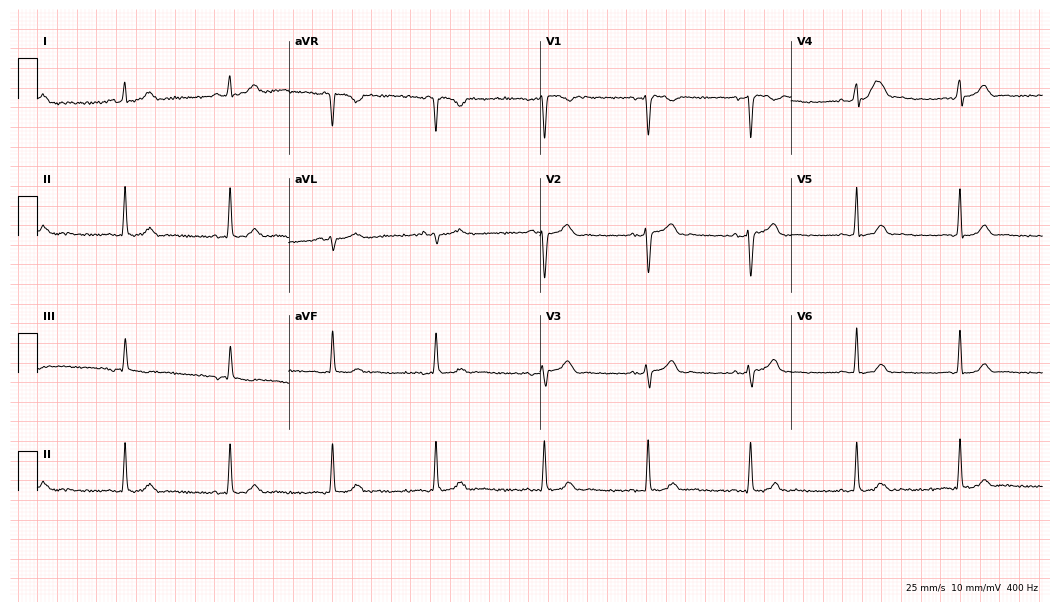
ECG — a female patient, 35 years old. Labelled as a normal ECG.